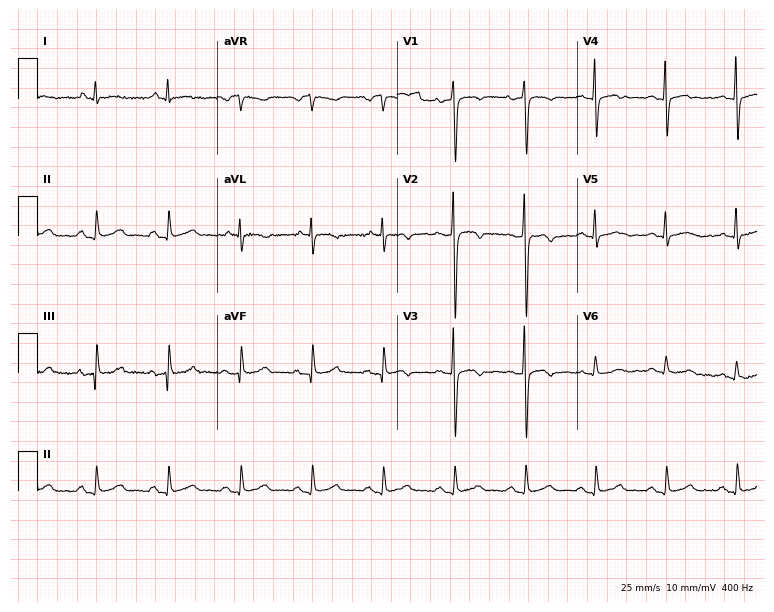
12-lead ECG from a 67-year-old male patient. No first-degree AV block, right bundle branch block, left bundle branch block, sinus bradycardia, atrial fibrillation or sinus tachycardia recorded for this tracing. Findings outside these six are not listed.